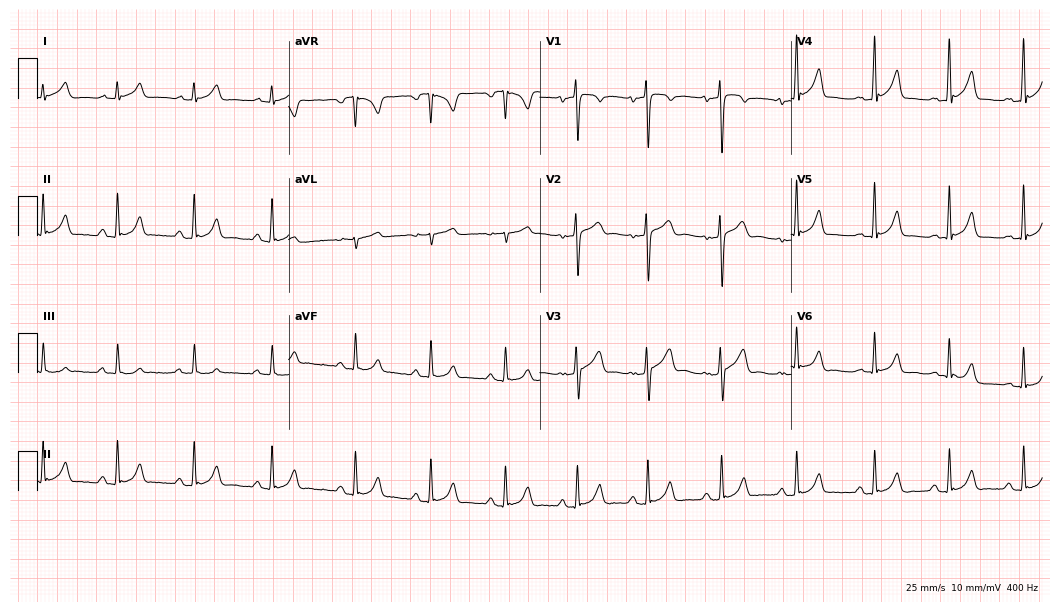
Resting 12-lead electrocardiogram. Patient: a male, 21 years old. Read as a normal ECG.